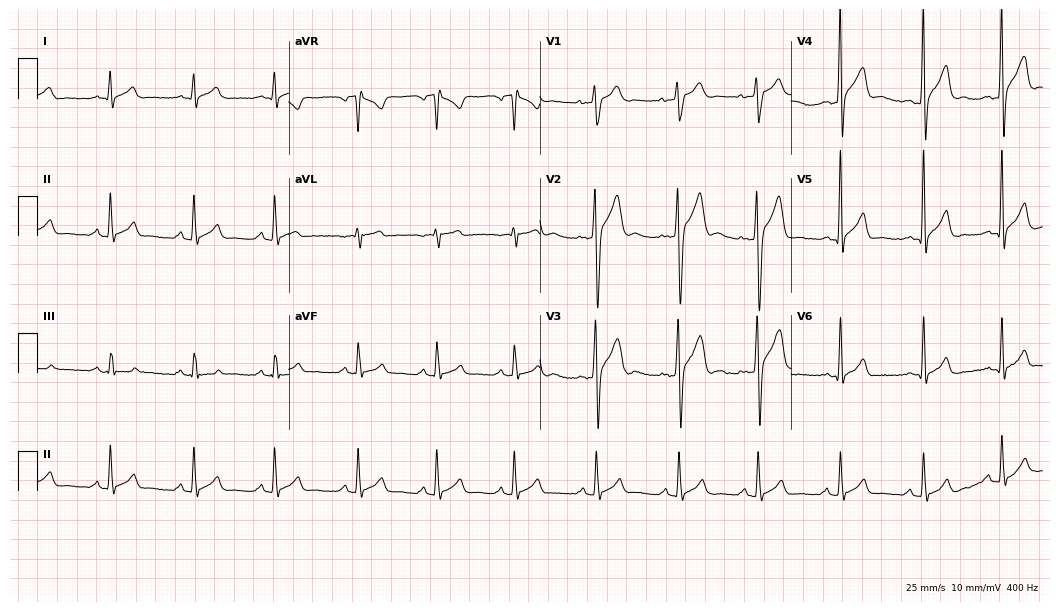
ECG (10.2-second recording at 400 Hz) — a 20-year-old male. Labelled as a normal ECG.